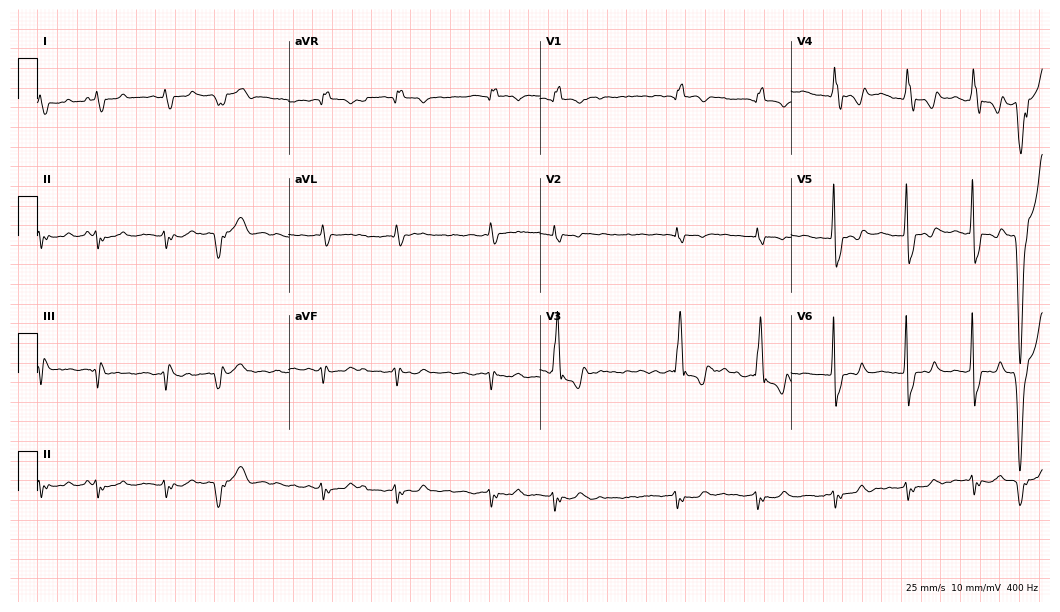
ECG (10.2-second recording at 400 Hz) — a male patient, 85 years old. Findings include right bundle branch block, atrial fibrillation.